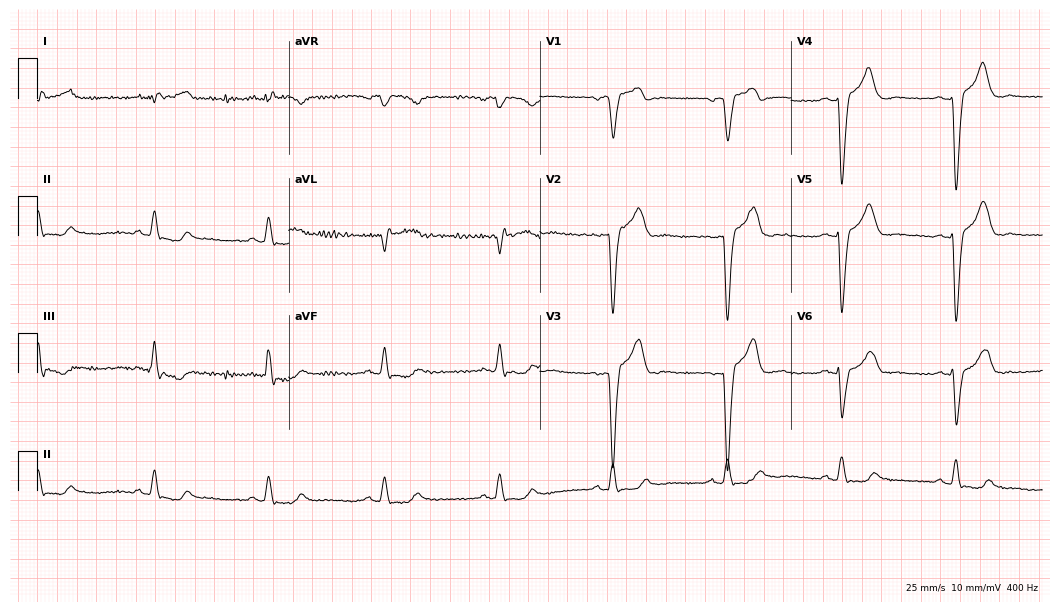
Electrocardiogram (10.2-second recording at 400 Hz), a man, 64 years old. Interpretation includes left bundle branch block.